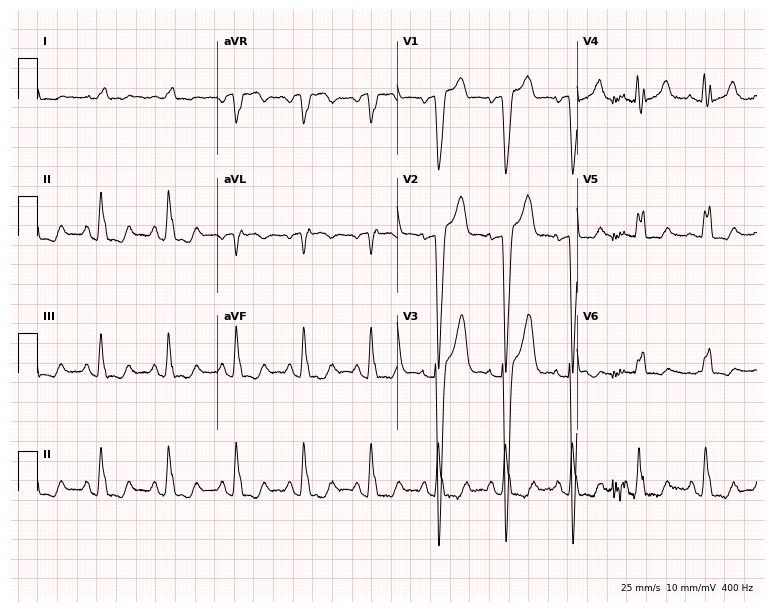
12-lead ECG from a 79-year-old male patient (7.3-second recording at 400 Hz). No first-degree AV block, right bundle branch block, left bundle branch block, sinus bradycardia, atrial fibrillation or sinus tachycardia recorded for this tracing.